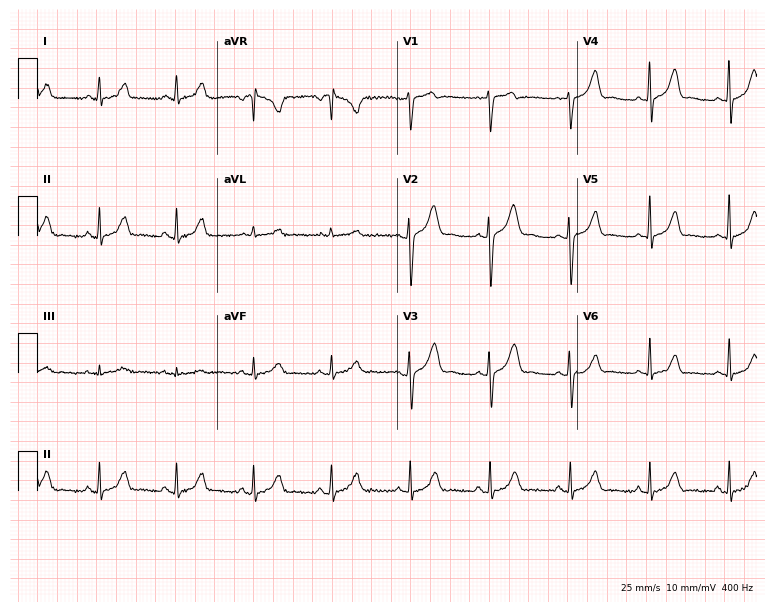
12-lead ECG from a female patient, 41 years old. No first-degree AV block, right bundle branch block, left bundle branch block, sinus bradycardia, atrial fibrillation or sinus tachycardia recorded for this tracing.